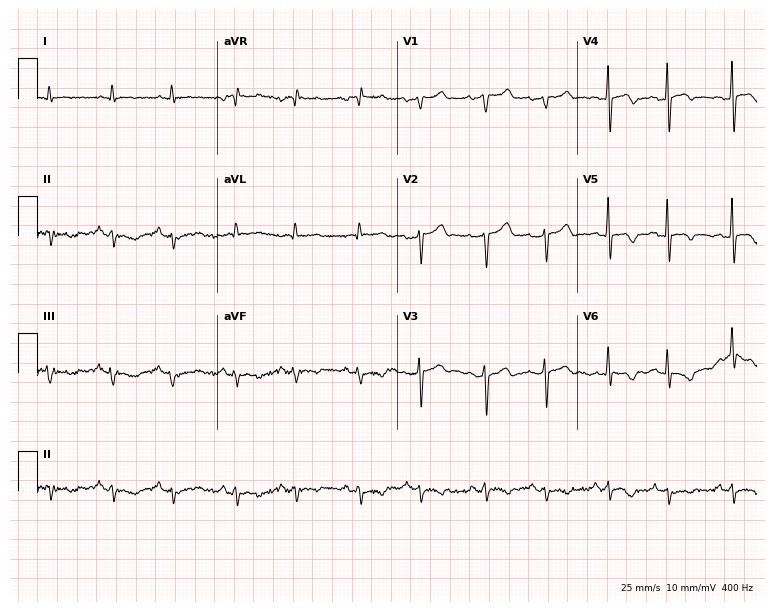
Standard 12-lead ECG recorded from a 69-year-old man (7.3-second recording at 400 Hz). None of these six findings is recorded: first-degree AV block, right bundle branch block, left bundle branch block, sinus bradycardia, atrial fibrillation, sinus tachycardia. Only these six findings were labelled.